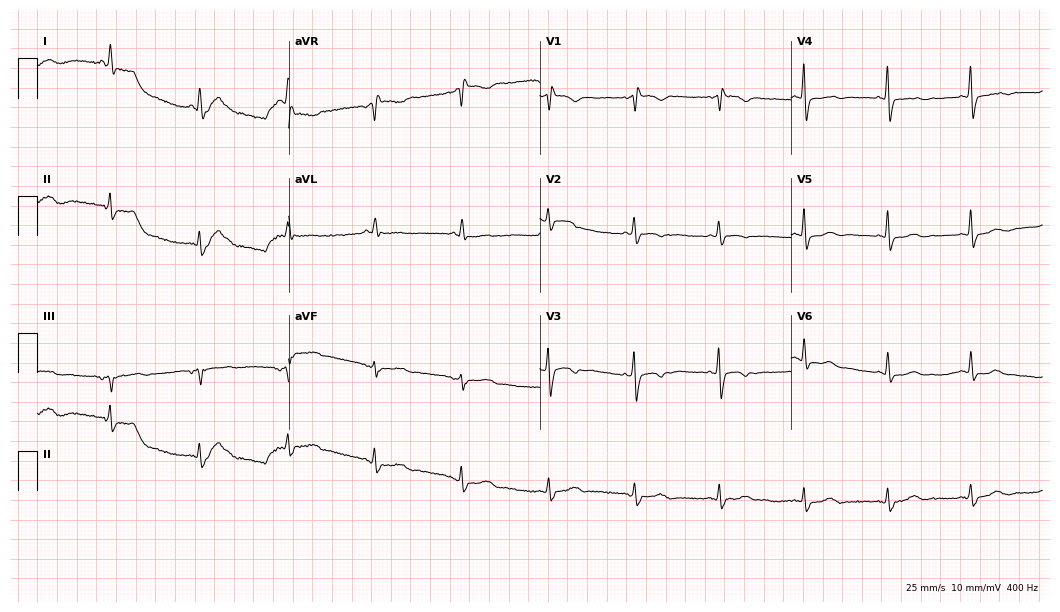
ECG (10.2-second recording at 400 Hz) — a female patient, 64 years old. Screened for six findings — first-degree AV block, right bundle branch block, left bundle branch block, sinus bradycardia, atrial fibrillation, sinus tachycardia — none is recorded. Other findings, if any, are not listed.